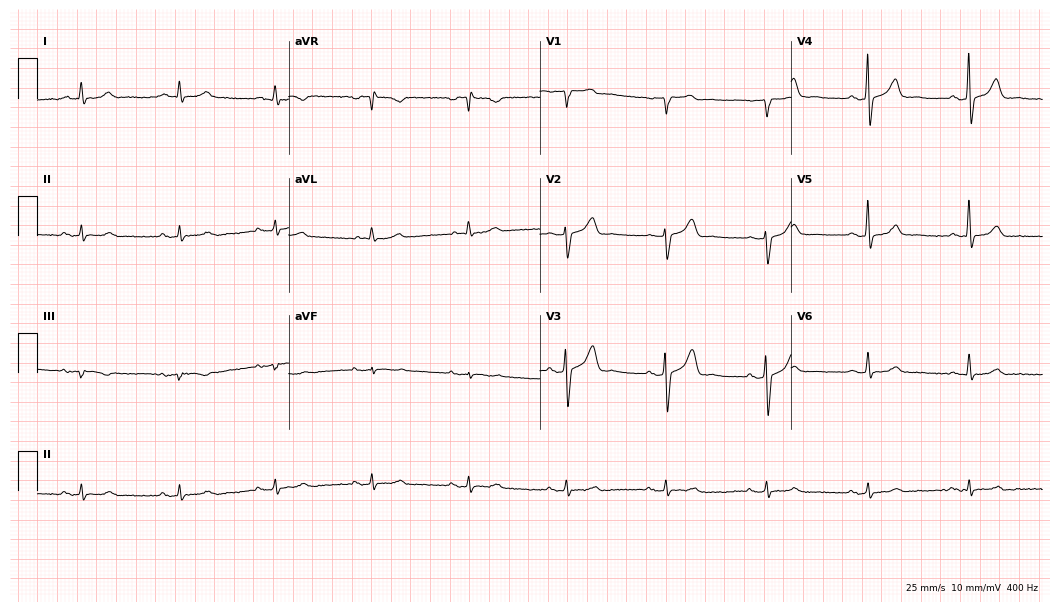
12-lead ECG from a male patient, 77 years old (10.2-second recording at 400 Hz). Recorded interpretation: within normal limits.